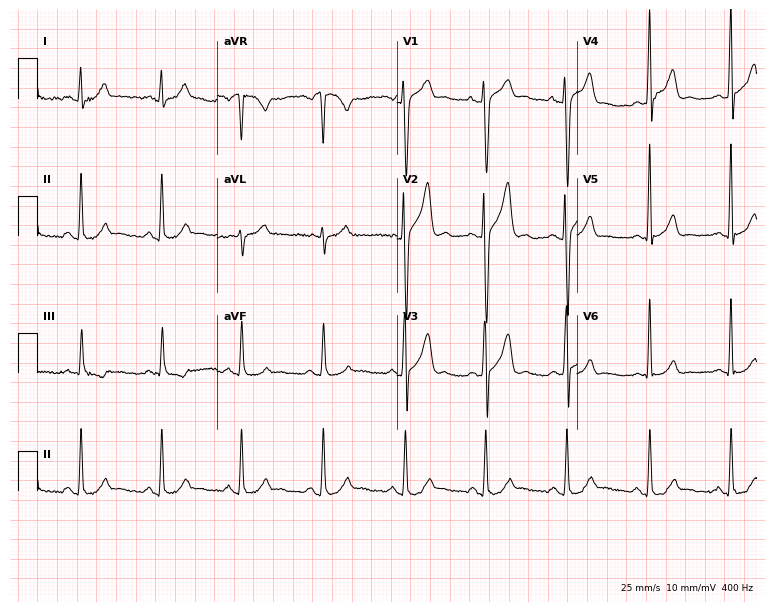
12-lead ECG from a 35-year-old man. No first-degree AV block, right bundle branch block, left bundle branch block, sinus bradycardia, atrial fibrillation or sinus tachycardia recorded for this tracing. Findings outside these six are not listed.